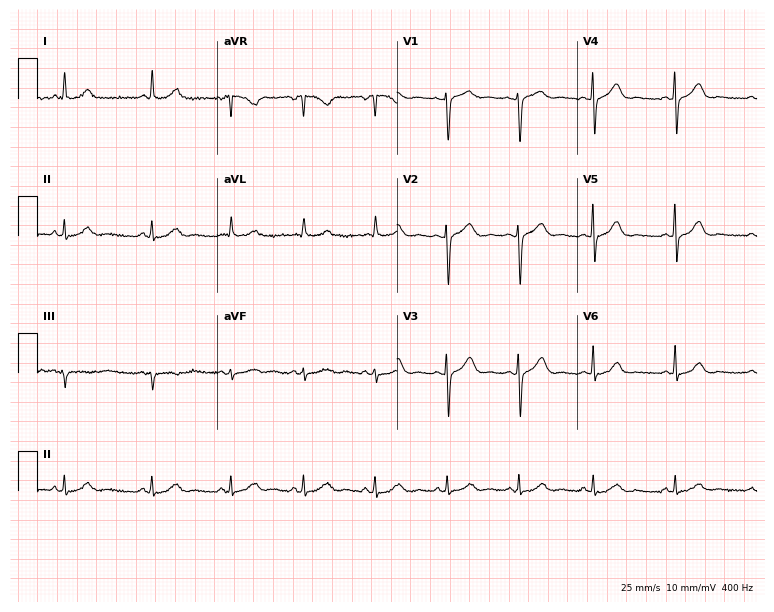
Resting 12-lead electrocardiogram. Patient: a 45-year-old female. Read as a normal ECG.